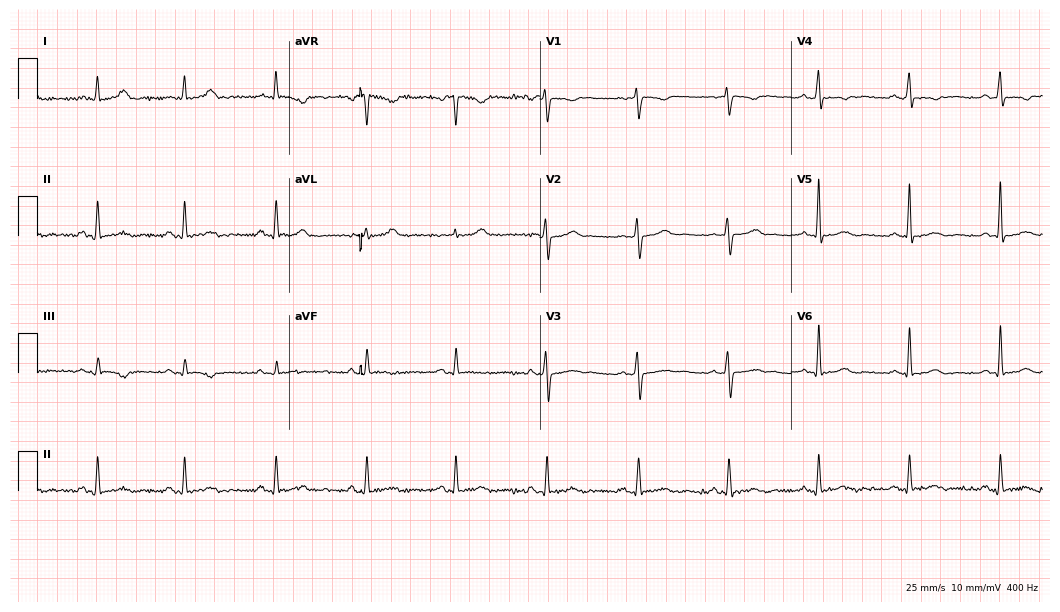
Resting 12-lead electrocardiogram. Patient: a female, 41 years old. None of these six findings is recorded: first-degree AV block, right bundle branch block, left bundle branch block, sinus bradycardia, atrial fibrillation, sinus tachycardia.